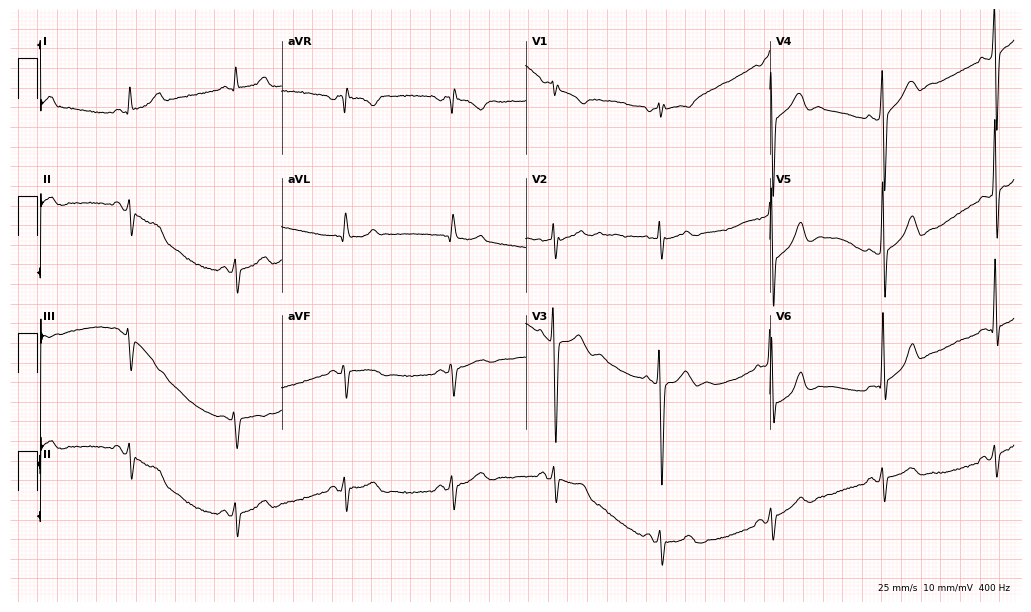
Resting 12-lead electrocardiogram. Patient: a male, 50 years old. None of these six findings is recorded: first-degree AV block, right bundle branch block, left bundle branch block, sinus bradycardia, atrial fibrillation, sinus tachycardia.